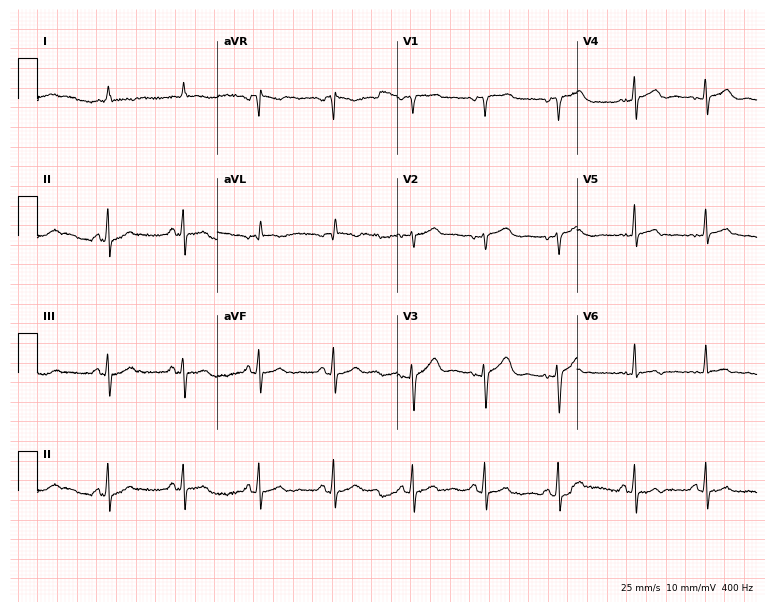
12-lead ECG from a 76-year-old female patient (7.3-second recording at 400 Hz). Recorded interpretation: within normal limits.